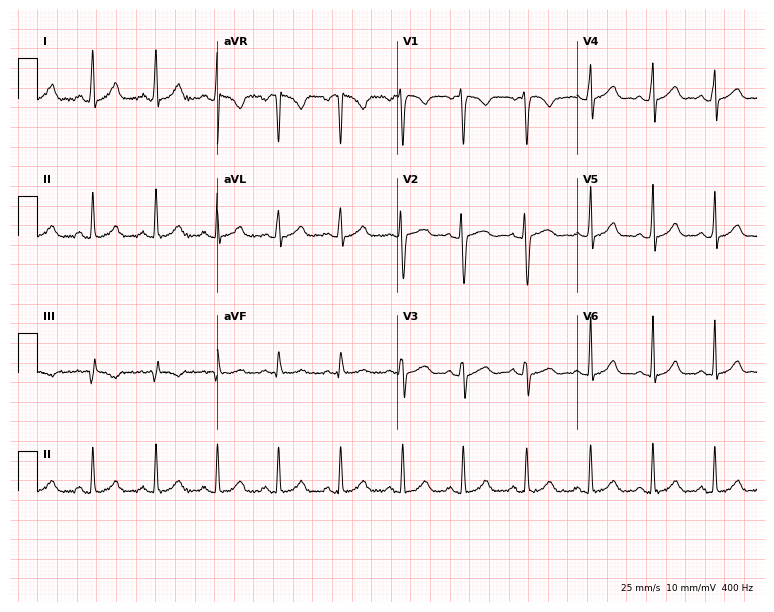
12-lead ECG (7.3-second recording at 400 Hz) from a female patient, 23 years old. Labelled as a normal ECG.